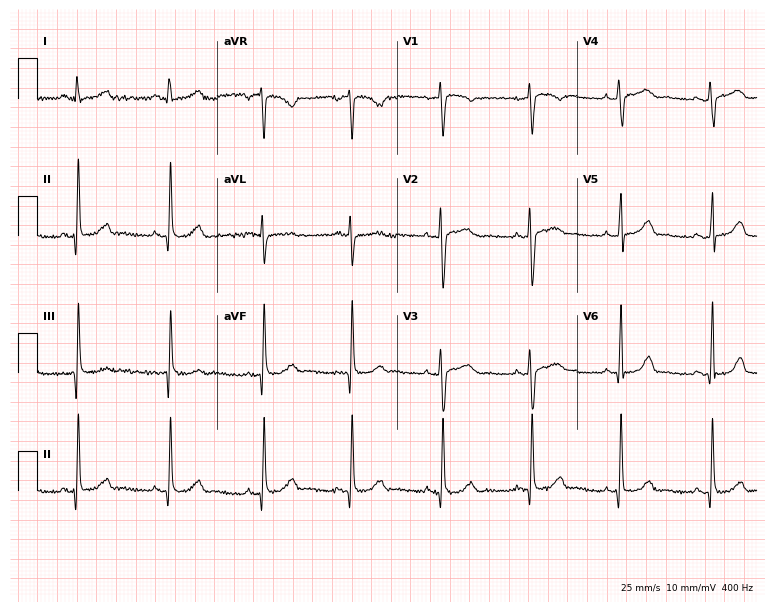
12-lead ECG from a 37-year-old woman (7.3-second recording at 400 Hz). Recorded interpretation: within normal limits.